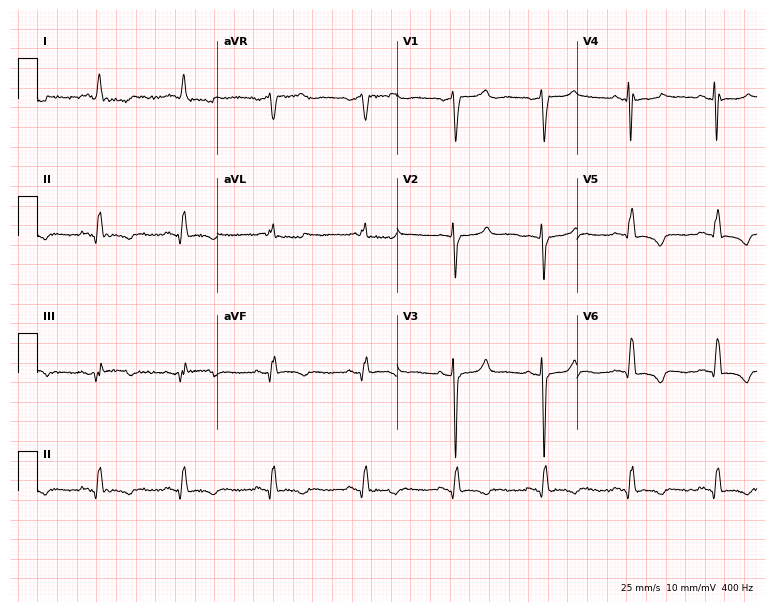
Resting 12-lead electrocardiogram (7.3-second recording at 400 Hz). Patient: a female, 73 years old. None of these six findings is recorded: first-degree AV block, right bundle branch block (RBBB), left bundle branch block (LBBB), sinus bradycardia, atrial fibrillation (AF), sinus tachycardia.